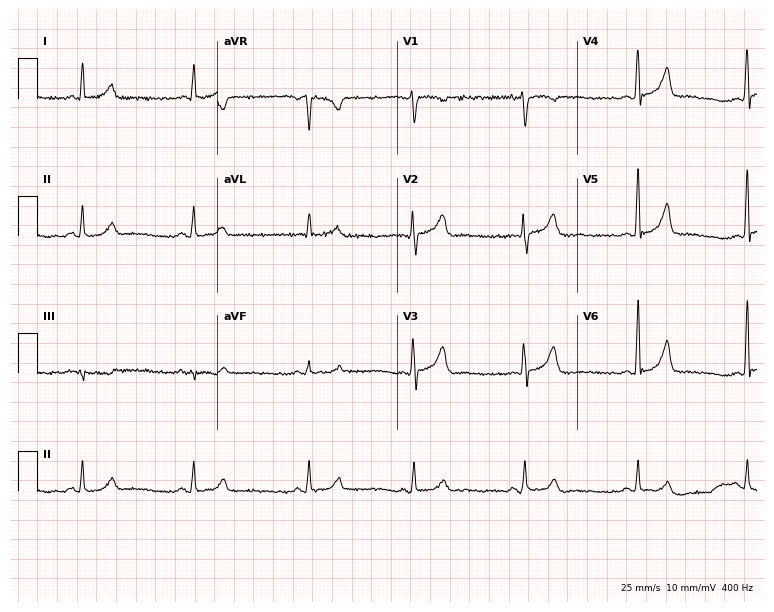
Standard 12-lead ECG recorded from a 43-year-old female patient. None of these six findings is recorded: first-degree AV block, right bundle branch block, left bundle branch block, sinus bradycardia, atrial fibrillation, sinus tachycardia. Only these six findings were labelled.